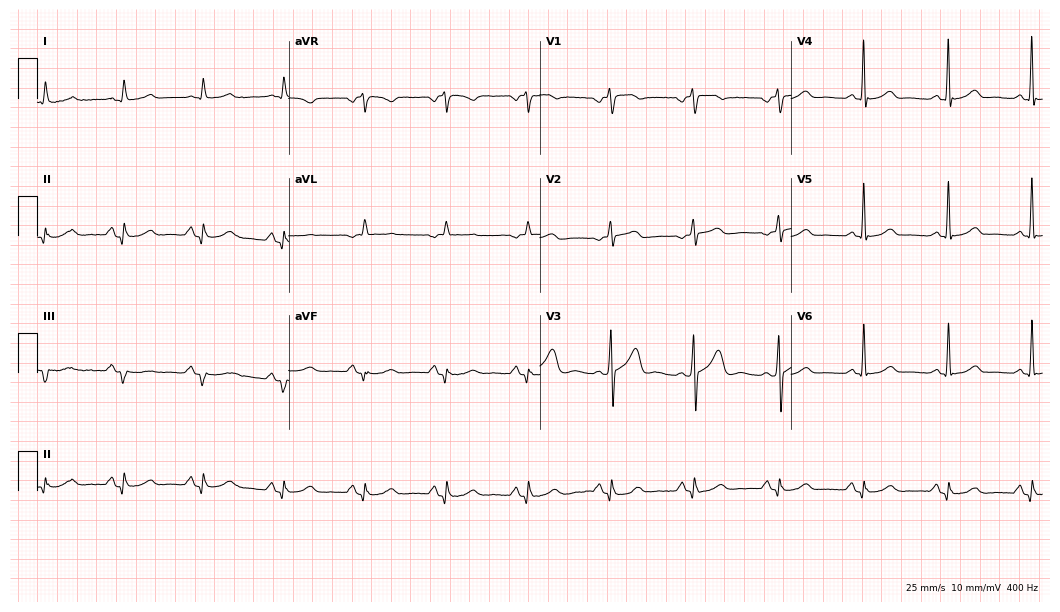
Resting 12-lead electrocardiogram. Patient: an 80-year-old male. None of these six findings is recorded: first-degree AV block, right bundle branch block (RBBB), left bundle branch block (LBBB), sinus bradycardia, atrial fibrillation (AF), sinus tachycardia.